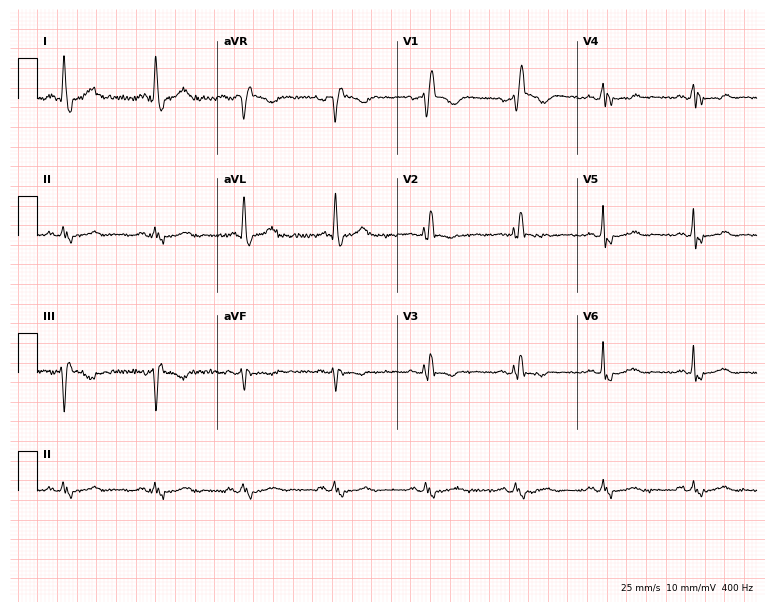
Standard 12-lead ECG recorded from a 67-year-old female. The tracing shows right bundle branch block.